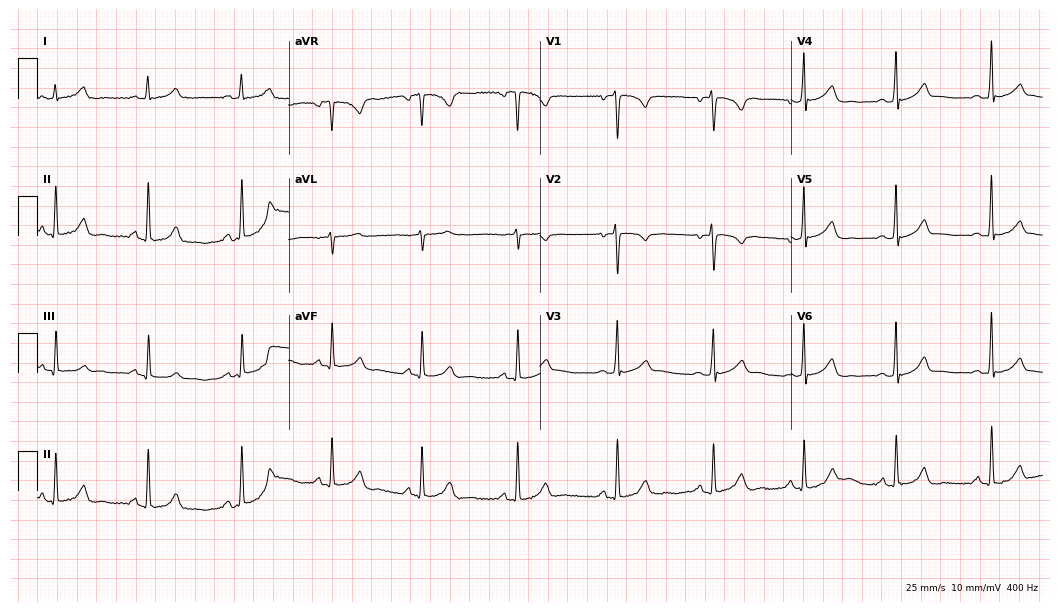
ECG — a female patient, 30 years old. Labelled as a normal ECG.